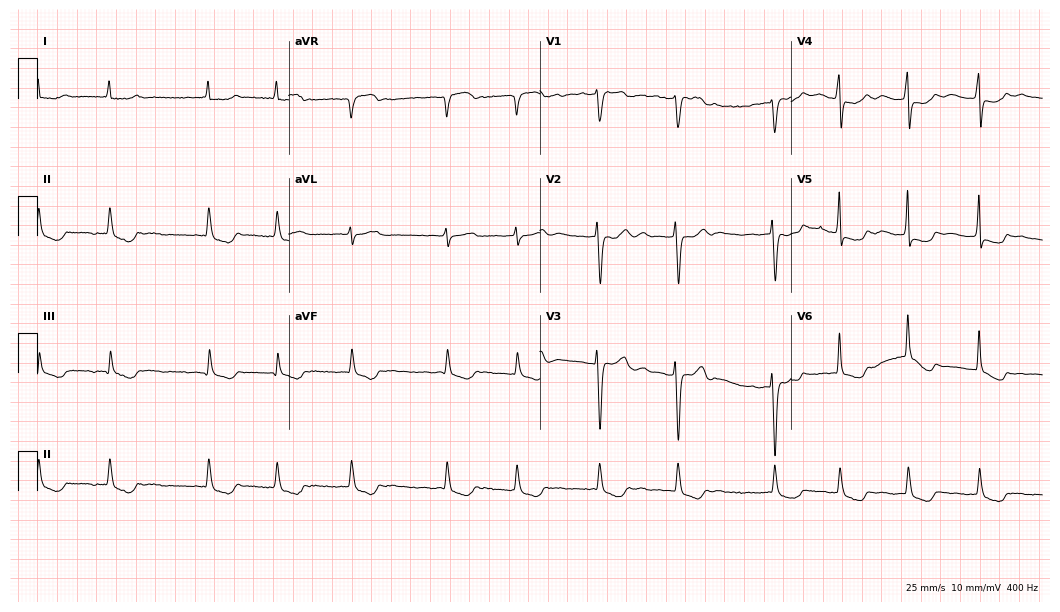
Resting 12-lead electrocardiogram (10.2-second recording at 400 Hz). Patient: a woman, 83 years old. The tracing shows atrial fibrillation.